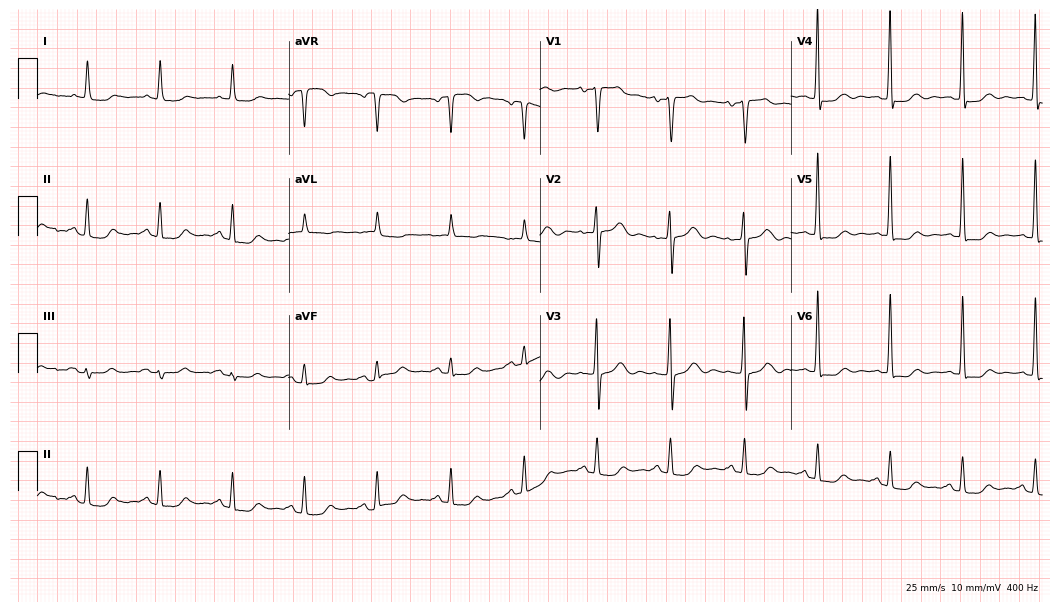
Standard 12-lead ECG recorded from an 84-year-old male patient. None of these six findings is recorded: first-degree AV block, right bundle branch block, left bundle branch block, sinus bradycardia, atrial fibrillation, sinus tachycardia. Findings outside these six are not listed.